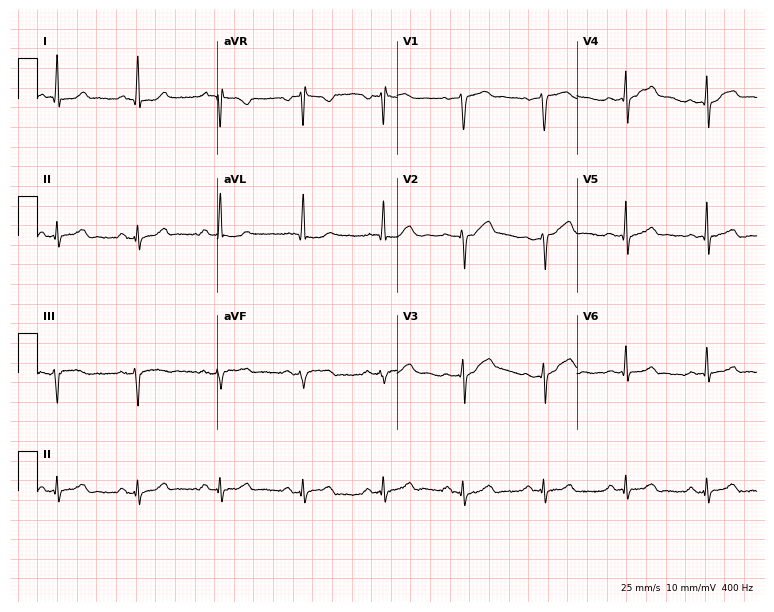
12-lead ECG from a male, 43 years old. Labelled as a normal ECG.